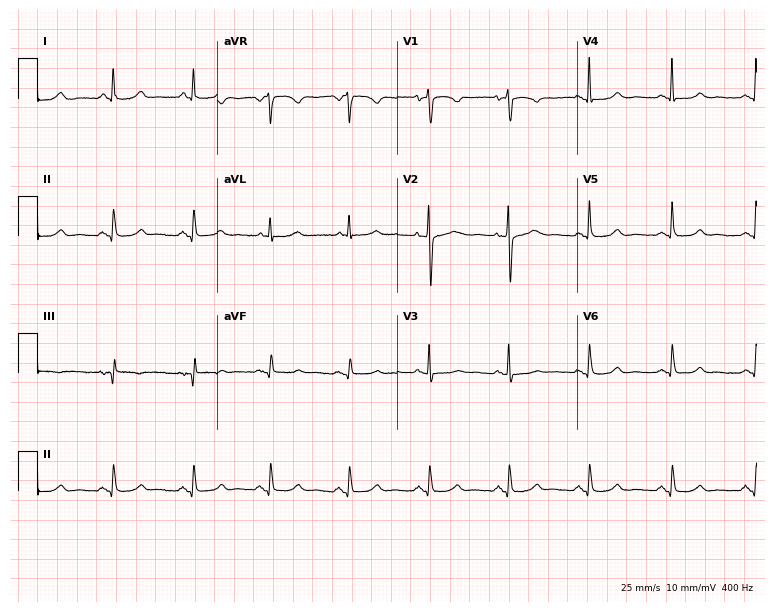
12-lead ECG from a female, 62 years old. Screened for six findings — first-degree AV block, right bundle branch block, left bundle branch block, sinus bradycardia, atrial fibrillation, sinus tachycardia — none is recorded.